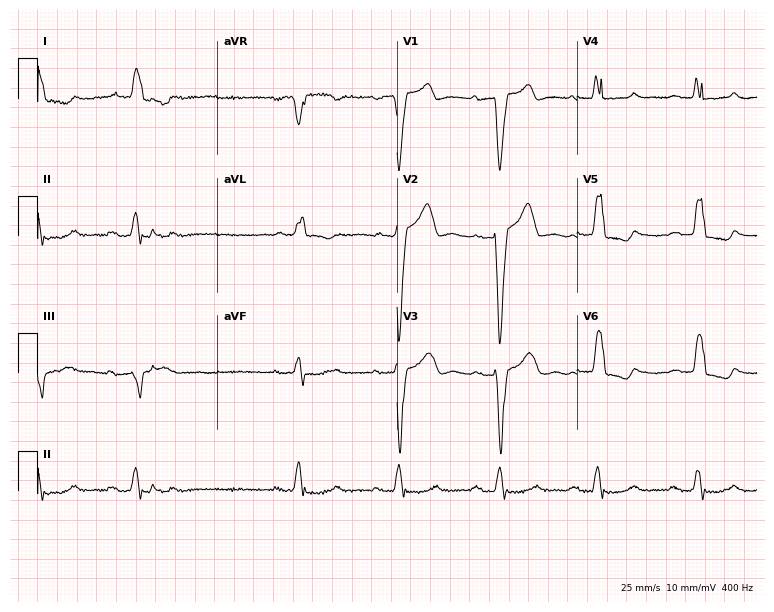
ECG — a woman, 73 years old. Findings include left bundle branch block.